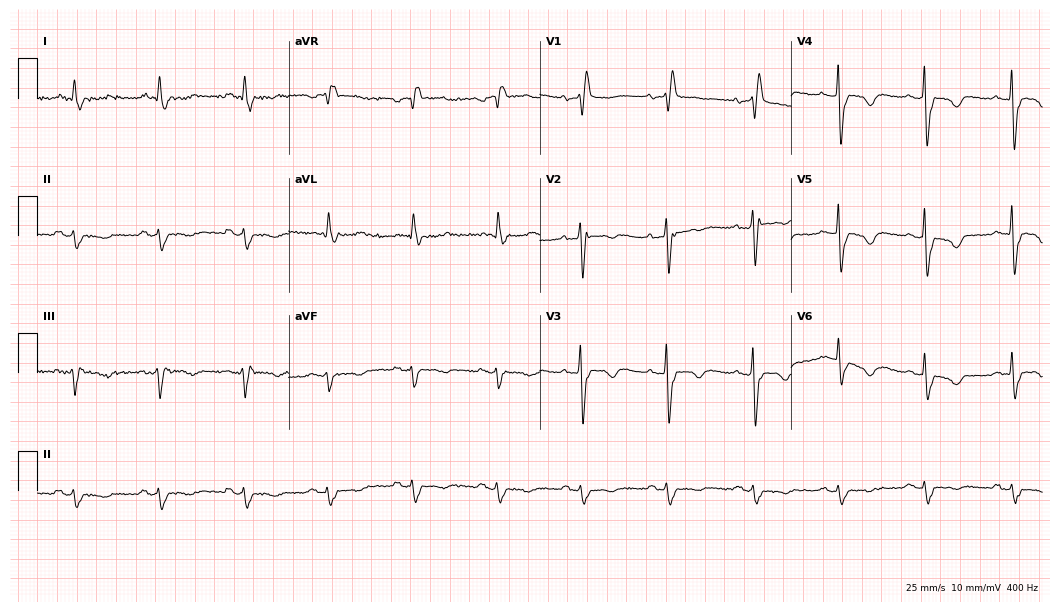
Resting 12-lead electrocardiogram. Patient: a man, 77 years old. The tracing shows right bundle branch block.